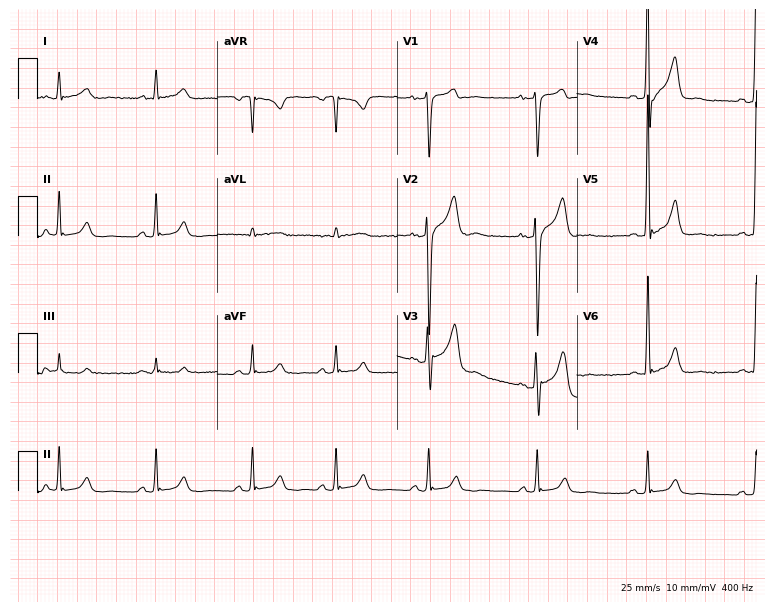
12-lead ECG from a 45-year-old man. Screened for six findings — first-degree AV block, right bundle branch block, left bundle branch block, sinus bradycardia, atrial fibrillation, sinus tachycardia — none is recorded. Findings outside these six are not listed.